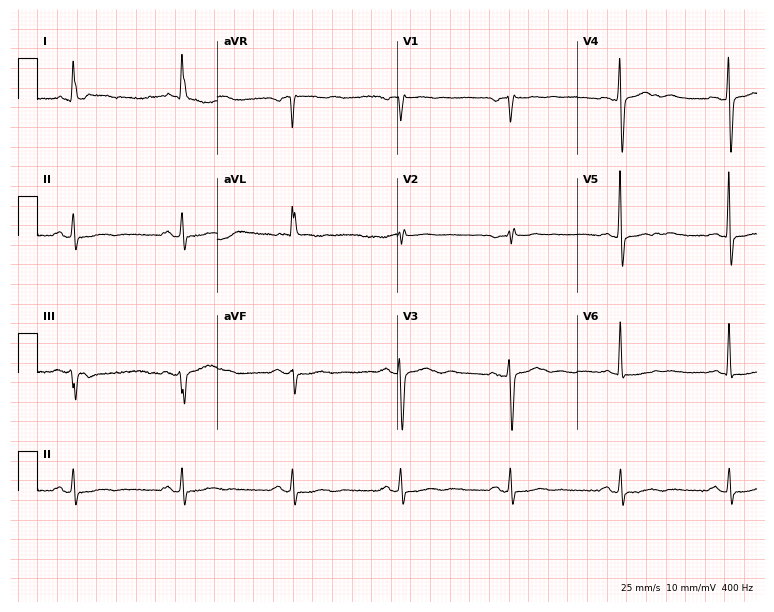
Electrocardiogram (7.3-second recording at 400 Hz), an 83-year-old woman. Of the six screened findings (first-degree AV block, right bundle branch block, left bundle branch block, sinus bradycardia, atrial fibrillation, sinus tachycardia), none is recorded.